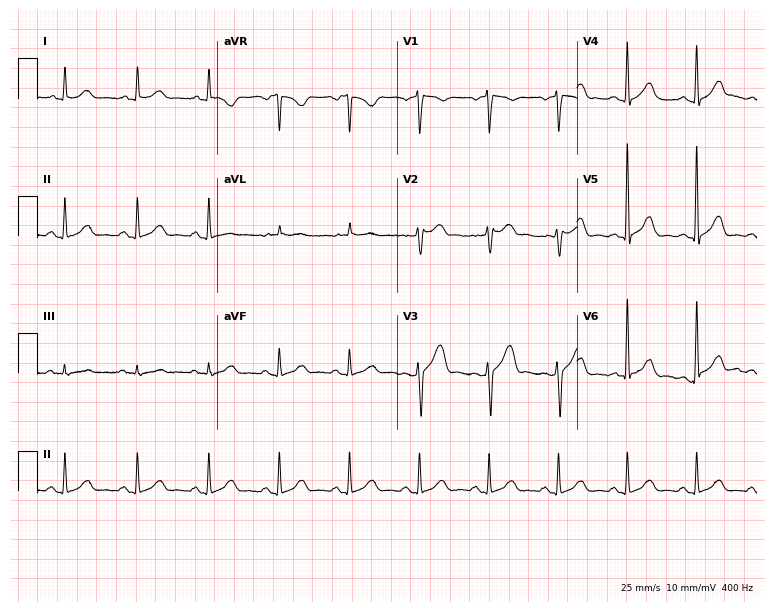
Electrocardiogram (7.3-second recording at 400 Hz), a 53-year-old male. Overall reading on record: normal ECG.